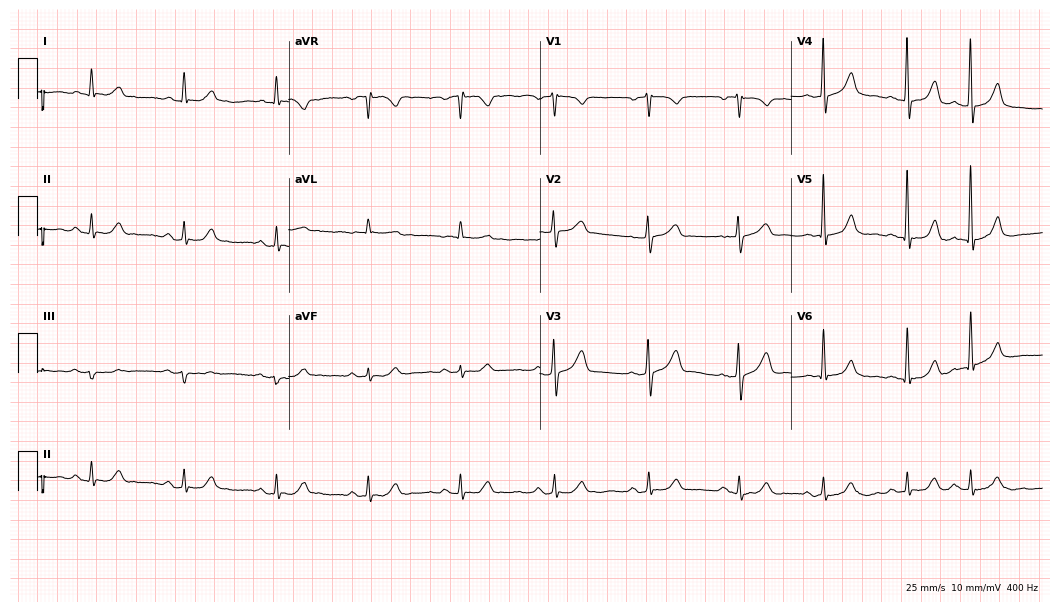
Standard 12-lead ECG recorded from an 82-year-old man (10.2-second recording at 400 Hz). Read as a normal ECG.